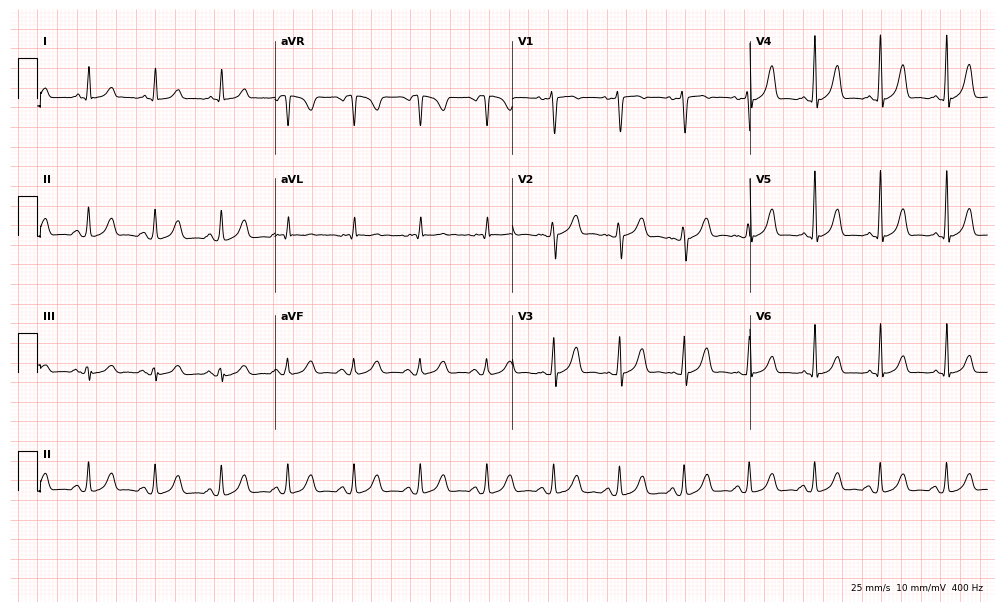
12-lead ECG from a female, 61 years old. Labelled as a normal ECG.